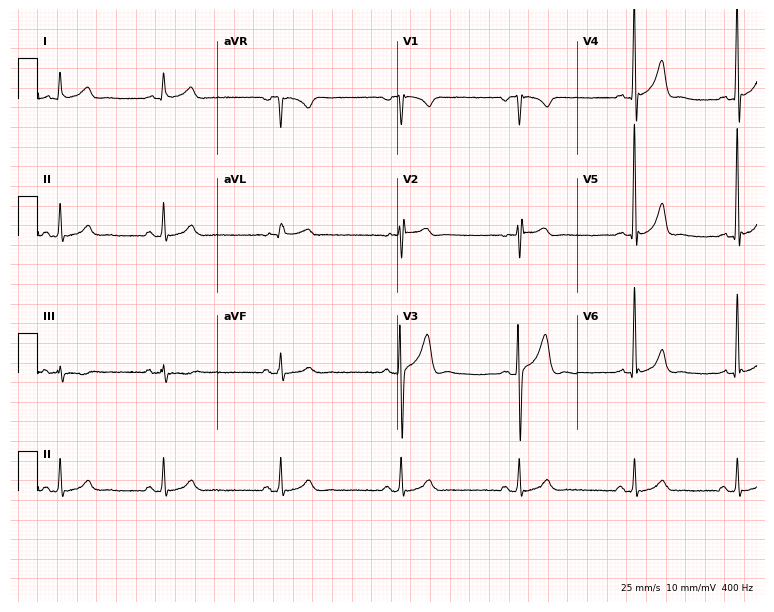
Standard 12-lead ECG recorded from a 35-year-old woman (7.3-second recording at 400 Hz). Read as a normal ECG.